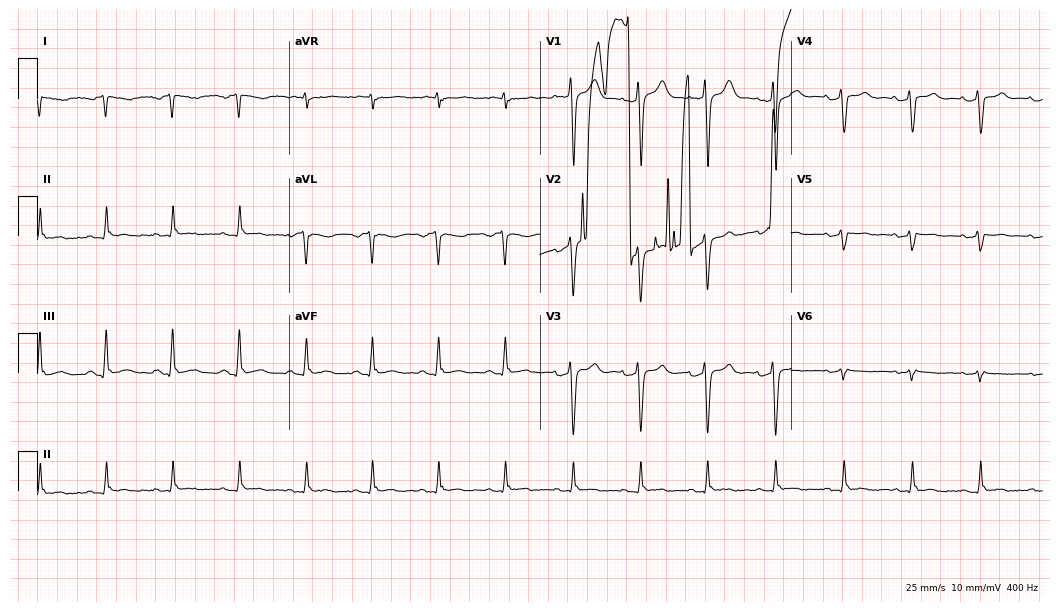
Electrocardiogram, a 54-year-old male patient. Of the six screened findings (first-degree AV block, right bundle branch block, left bundle branch block, sinus bradycardia, atrial fibrillation, sinus tachycardia), none is recorded. Findings outside these six are not listed.